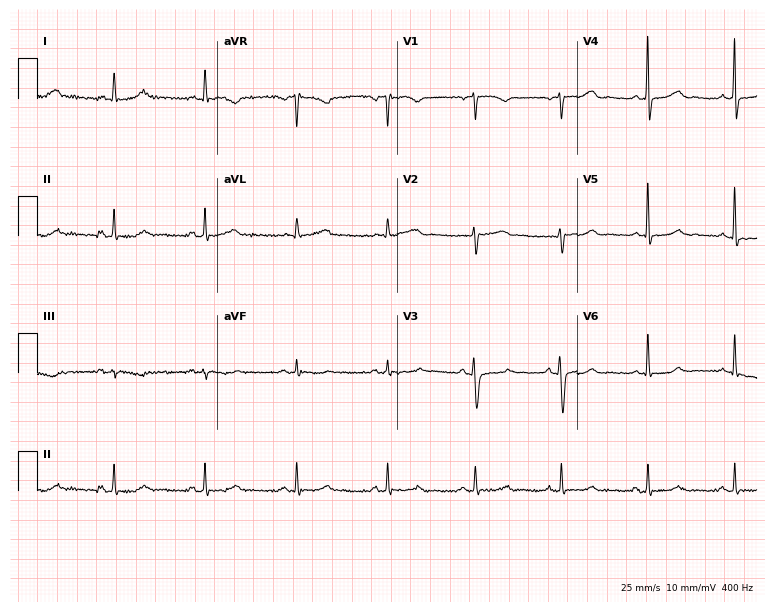
Electrocardiogram, a 39-year-old female patient. Of the six screened findings (first-degree AV block, right bundle branch block (RBBB), left bundle branch block (LBBB), sinus bradycardia, atrial fibrillation (AF), sinus tachycardia), none is recorded.